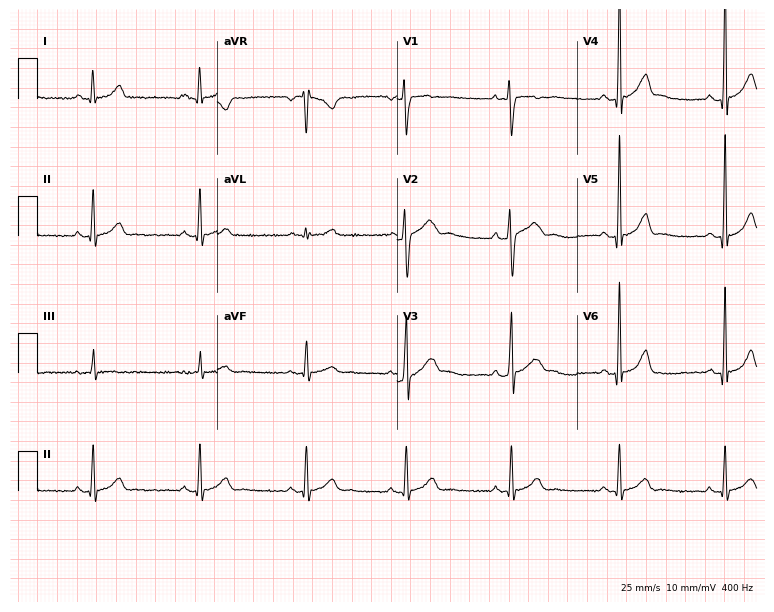
12-lead ECG from a 29-year-old man. No first-degree AV block, right bundle branch block (RBBB), left bundle branch block (LBBB), sinus bradycardia, atrial fibrillation (AF) or sinus tachycardia recorded for this tracing.